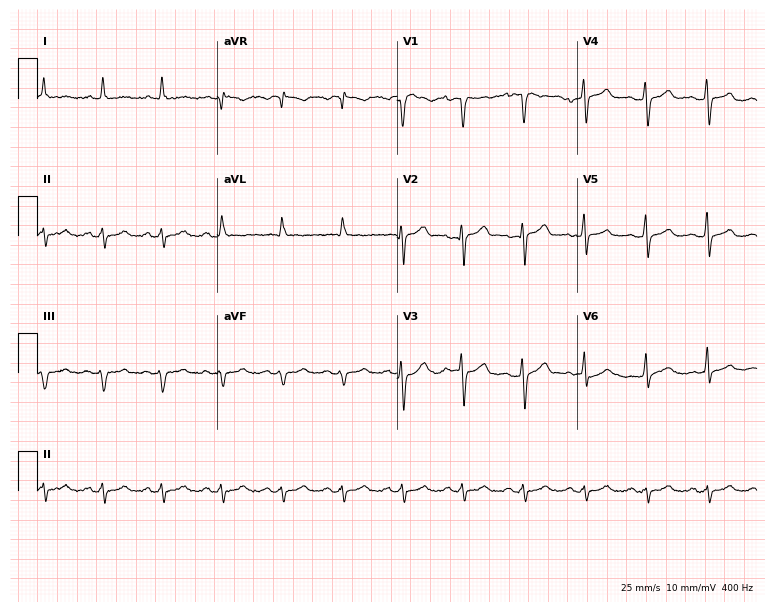
Electrocardiogram, a man, 57 years old. Of the six screened findings (first-degree AV block, right bundle branch block (RBBB), left bundle branch block (LBBB), sinus bradycardia, atrial fibrillation (AF), sinus tachycardia), none is recorded. Only these six findings were labelled.